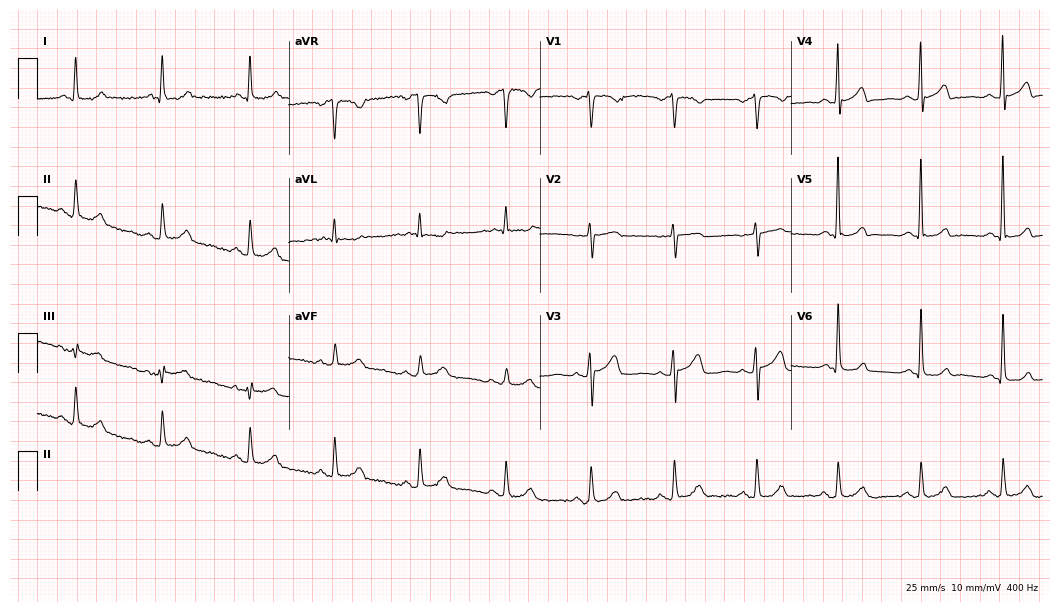
Resting 12-lead electrocardiogram. Patient: an 82-year-old female. Read as a normal ECG.